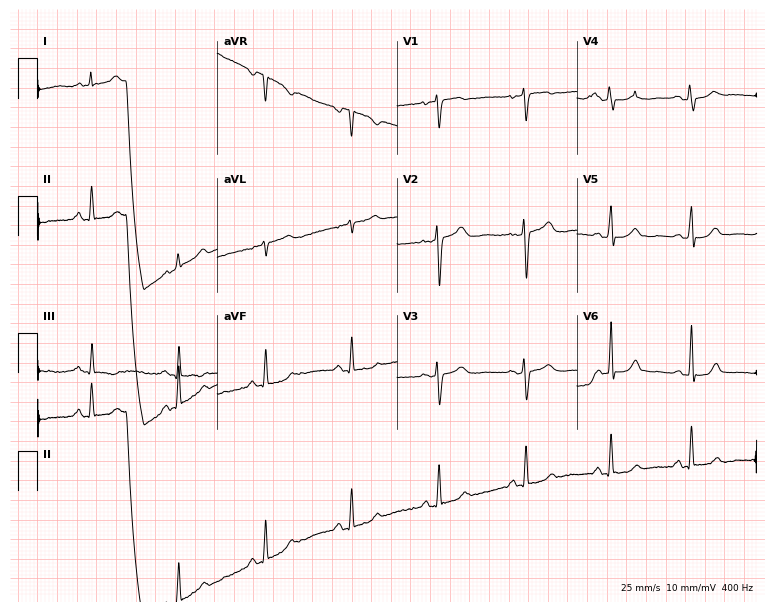
Standard 12-lead ECG recorded from a 34-year-old woman (7.3-second recording at 400 Hz). None of these six findings is recorded: first-degree AV block, right bundle branch block (RBBB), left bundle branch block (LBBB), sinus bradycardia, atrial fibrillation (AF), sinus tachycardia. Findings outside these six are not listed.